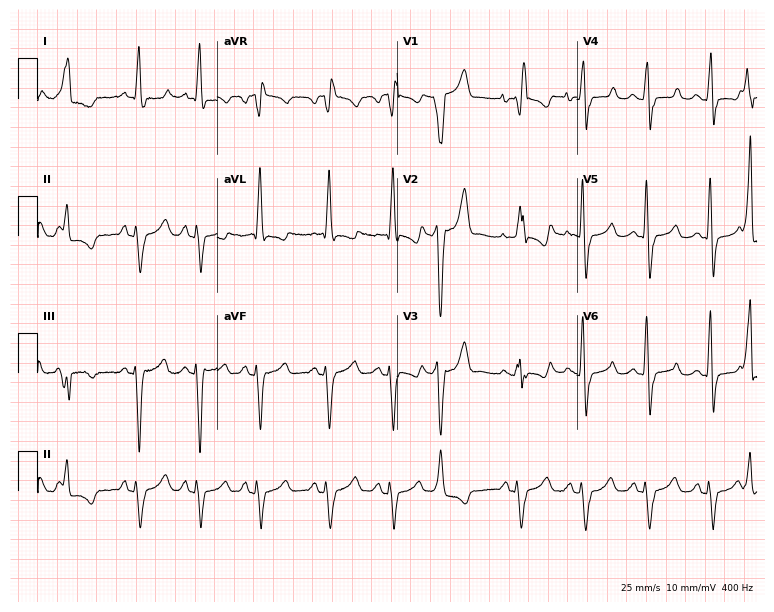
Resting 12-lead electrocardiogram. Patient: a female, 69 years old. The tracing shows right bundle branch block.